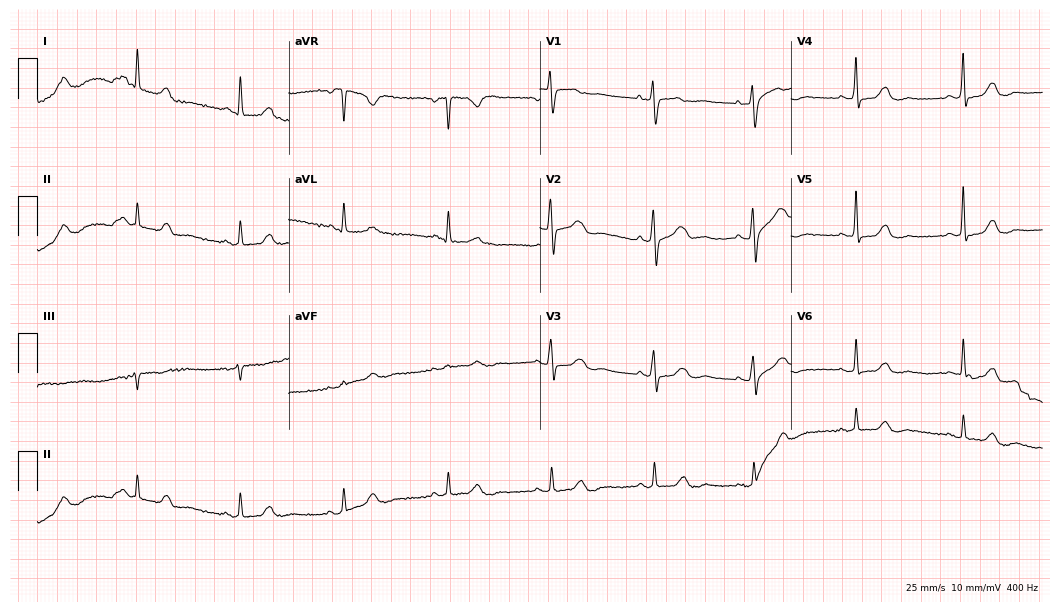
Standard 12-lead ECG recorded from a woman, 74 years old. None of these six findings is recorded: first-degree AV block, right bundle branch block (RBBB), left bundle branch block (LBBB), sinus bradycardia, atrial fibrillation (AF), sinus tachycardia. Findings outside these six are not listed.